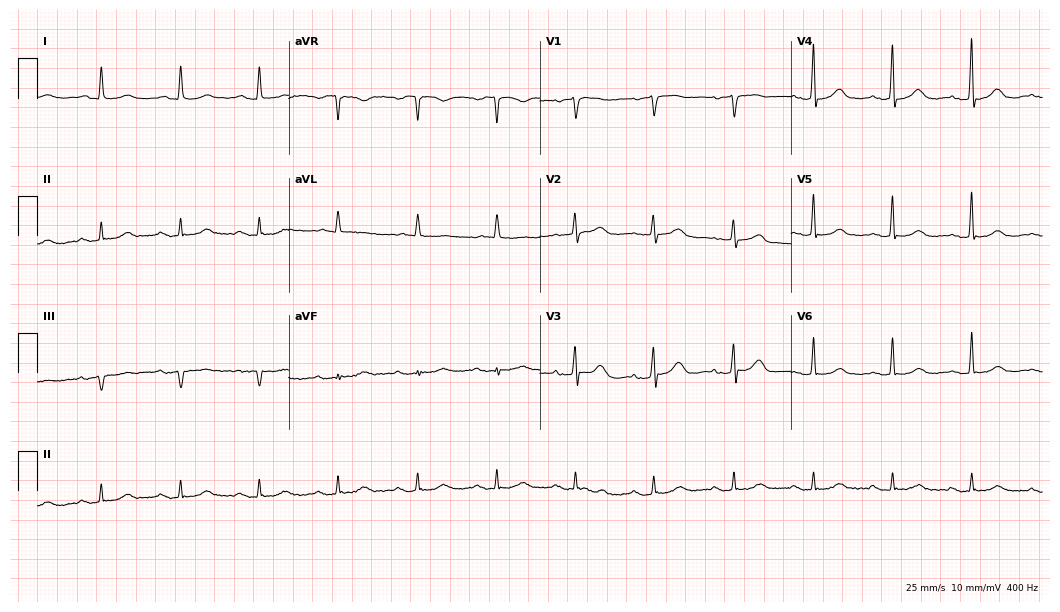
Electrocardiogram, an 83-year-old female. Of the six screened findings (first-degree AV block, right bundle branch block, left bundle branch block, sinus bradycardia, atrial fibrillation, sinus tachycardia), none is recorded. Other findings, if any, are not listed.